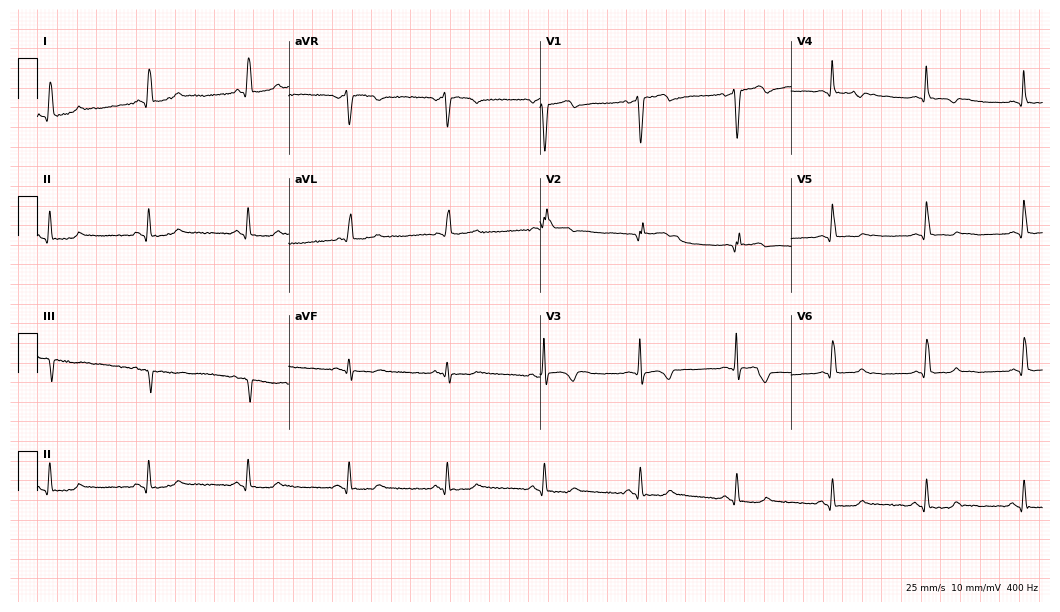
12-lead ECG from a 55-year-old man (10.2-second recording at 400 Hz). No first-degree AV block, right bundle branch block, left bundle branch block, sinus bradycardia, atrial fibrillation or sinus tachycardia recorded for this tracing. Only these six findings were labelled.